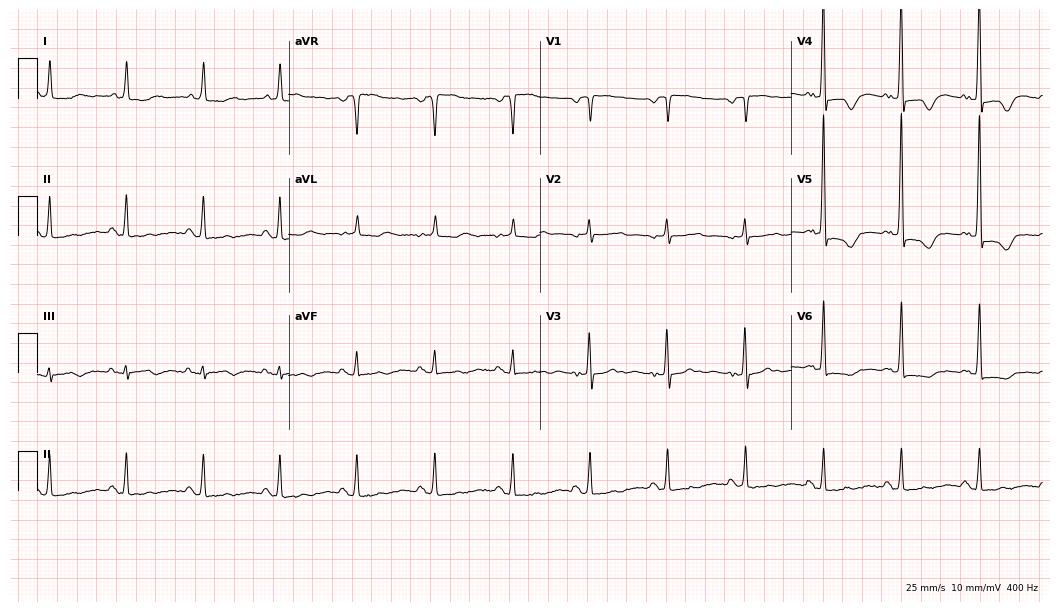
Resting 12-lead electrocardiogram. Patient: a 71-year-old woman. None of these six findings is recorded: first-degree AV block, right bundle branch block, left bundle branch block, sinus bradycardia, atrial fibrillation, sinus tachycardia.